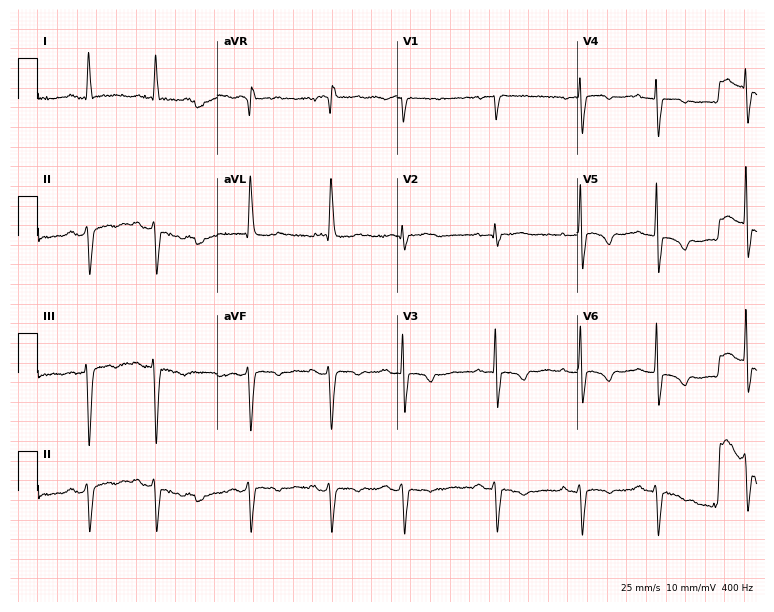
12-lead ECG from an 85-year-old female. No first-degree AV block, right bundle branch block, left bundle branch block, sinus bradycardia, atrial fibrillation or sinus tachycardia recorded for this tracing.